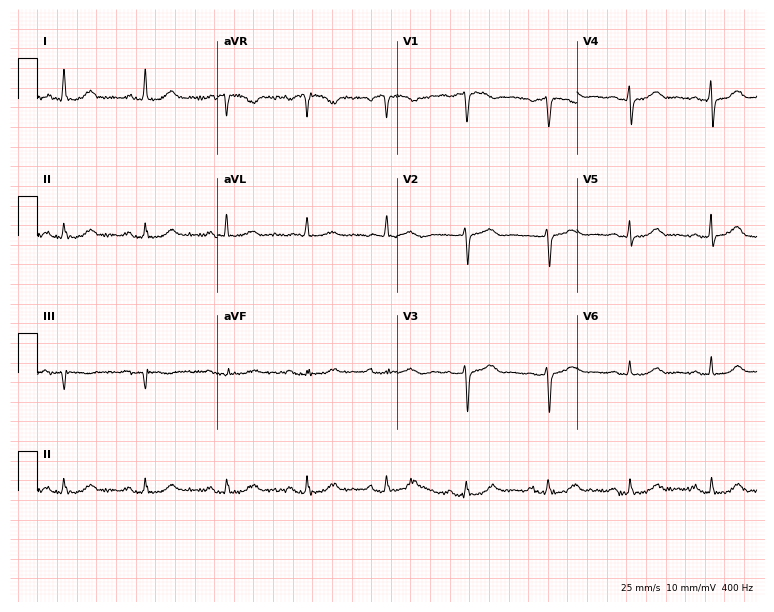
12-lead ECG from a 79-year-old female patient. Recorded interpretation: within normal limits.